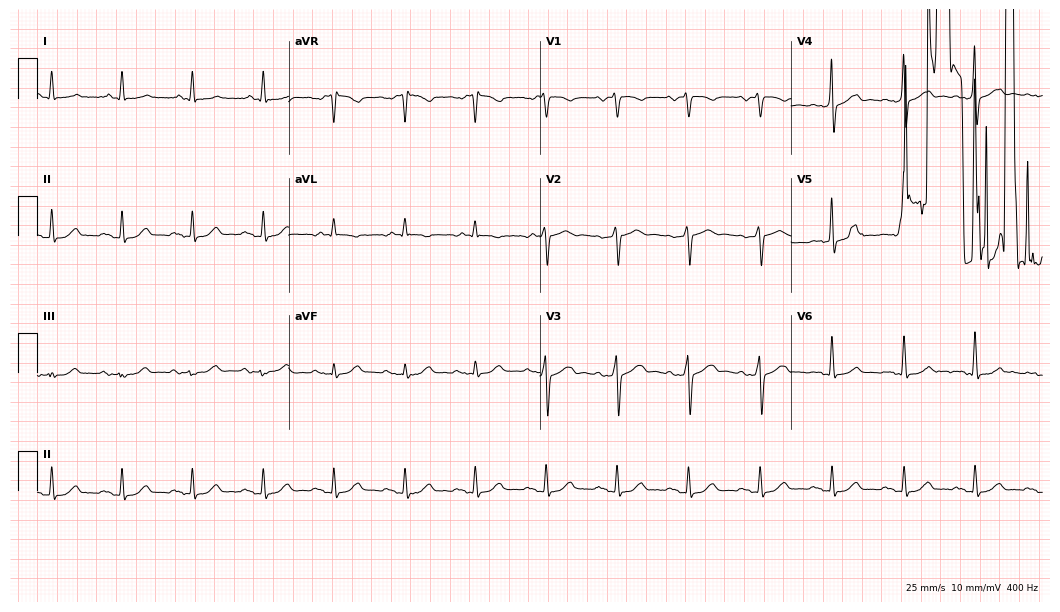
Electrocardiogram (10.2-second recording at 400 Hz), a man, 64 years old. Of the six screened findings (first-degree AV block, right bundle branch block, left bundle branch block, sinus bradycardia, atrial fibrillation, sinus tachycardia), none is recorded.